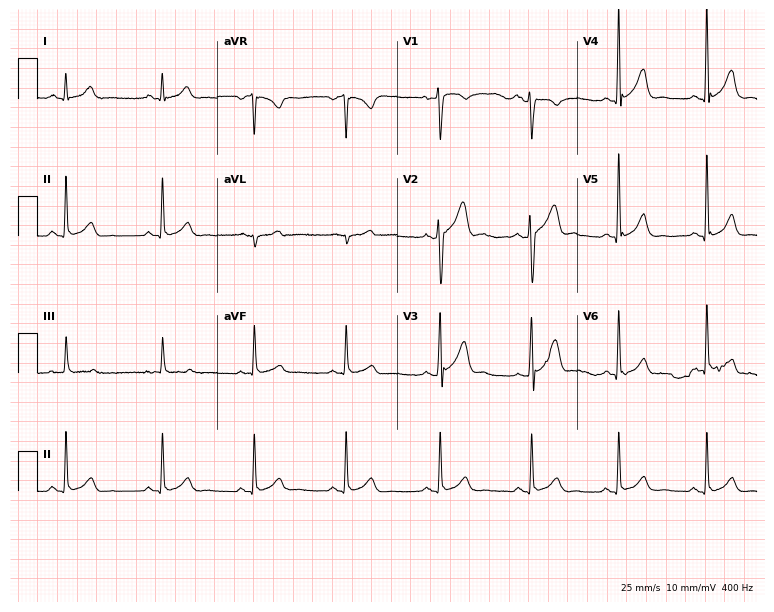
Standard 12-lead ECG recorded from a male, 35 years old. Read as a normal ECG.